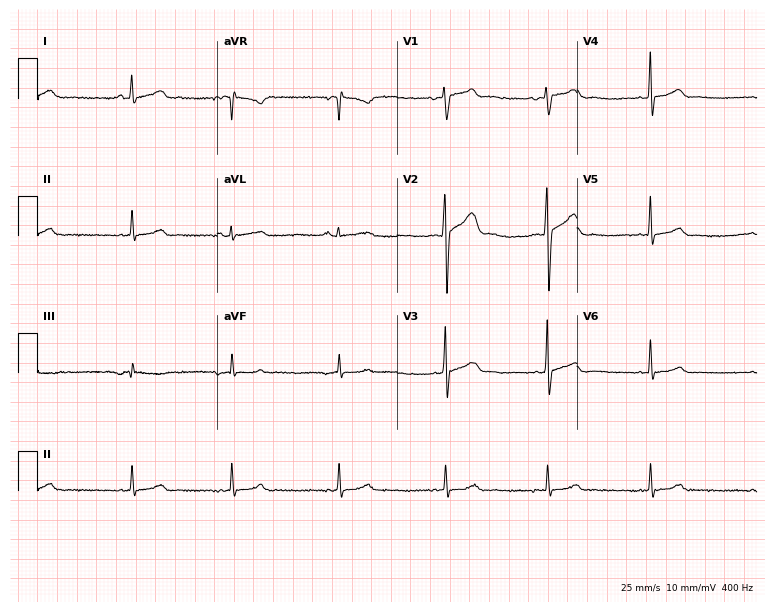
Electrocardiogram, a 27-year-old male. Of the six screened findings (first-degree AV block, right bundle branch block, left bundle branch block, sinus bradycardia, atrial fibrillation, sinus tachycardia), none is recorded. Findings outside these six are not listed.